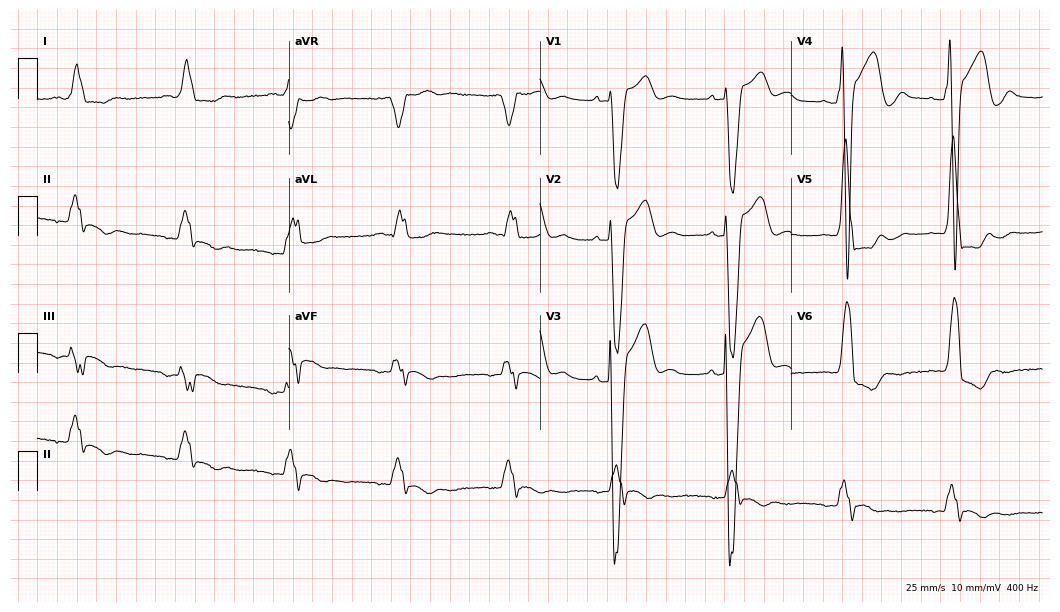
12-lead ECG from a female patient, 79 years old. Shows left bundle branch block.